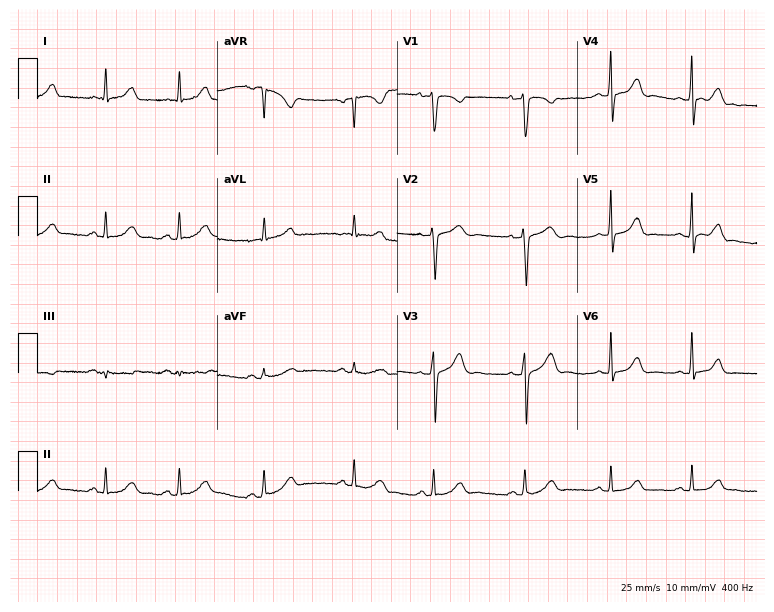
Standard 12-lead ECG recorded from a female, 20 years old. Read as a normal ECG.